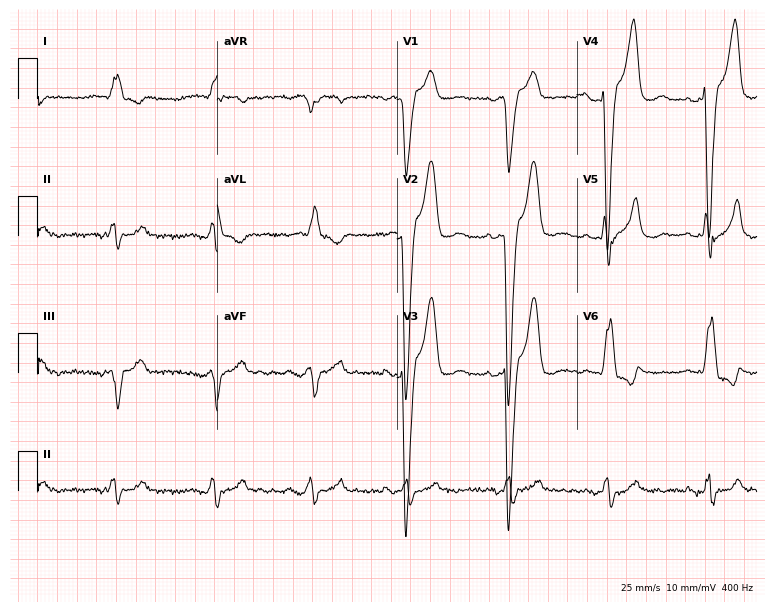
Electrocardiogram (7.3-second recording at 400 Hz), a male, 85 years old. Interpretation includes left bundle branch block (LBBB).